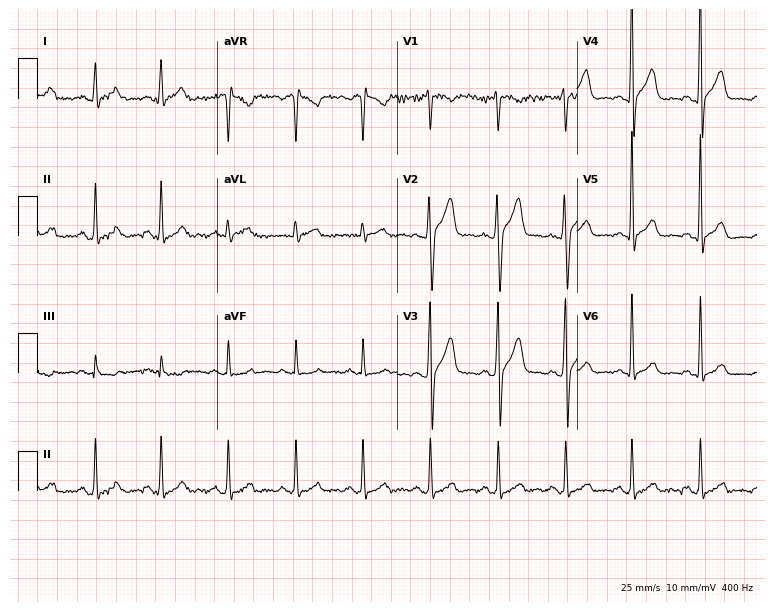
Standard 12-lead ECG recorded from a 37-year-old man. None of these six findings is recorded: first-degree AV block, right bundle branch block, left bundle branch block, sinus bradycardia, atrial fibrillation, sinus tachycardia.